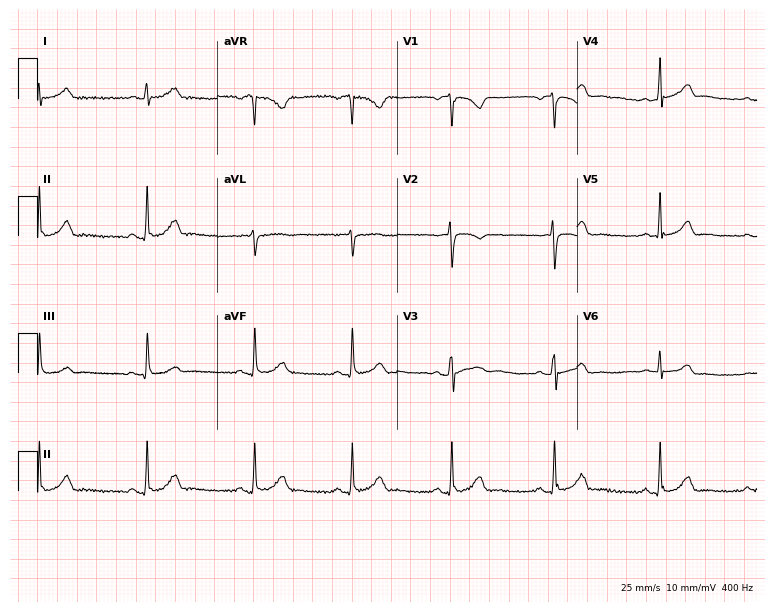
Resting 12-lead electrocardiogram. Patient: a female, 55 years old. Read as a normal ECG.